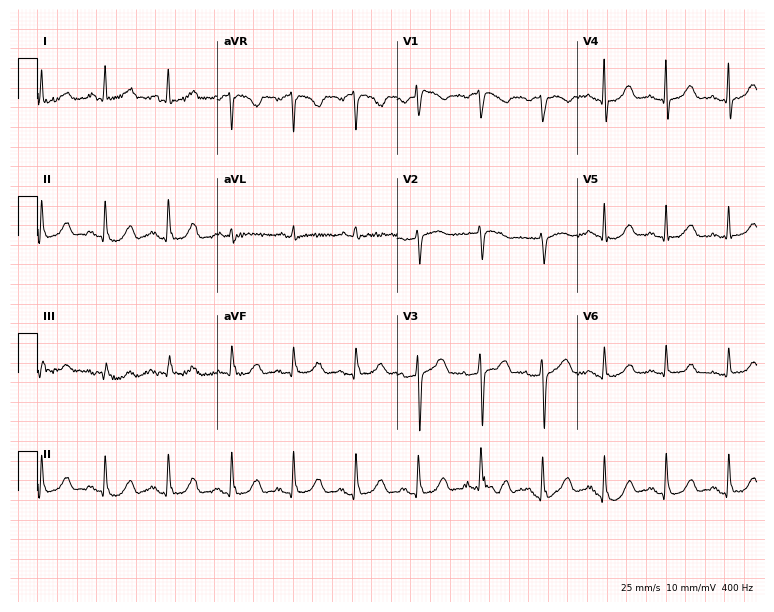
Standard 12-lead ECG recorded from a female patient, 77 years old. Read as a normal ECG.